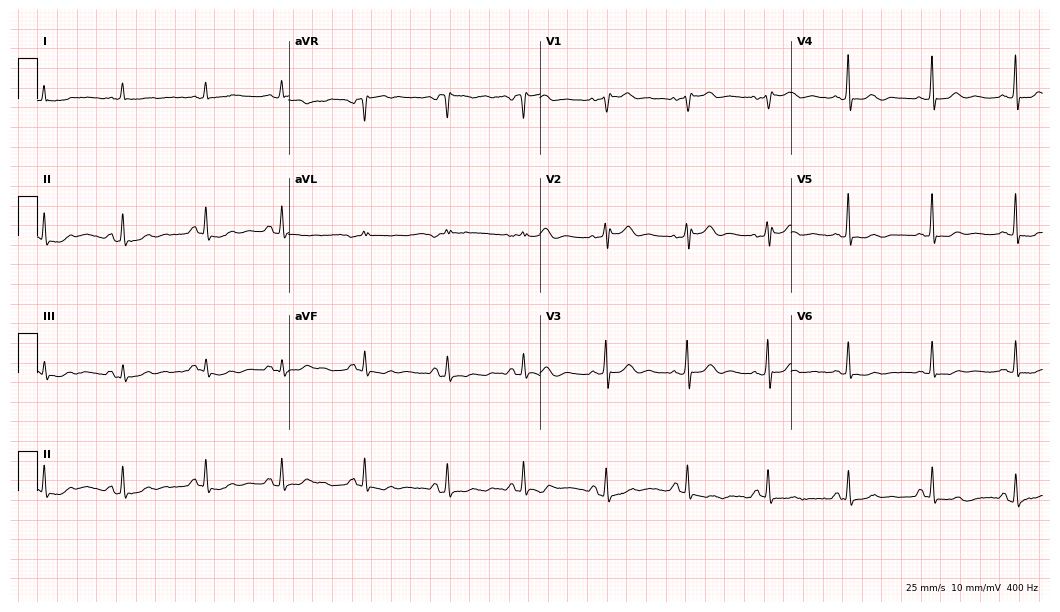
12-lead ECG from a 78-year-old female patient. Screened for six findings — first-degree AV block, right bundle branch block, left bundle branch block, sinus bradycardia, atrial fibrillation, sinus tachycardia — none is recorded.